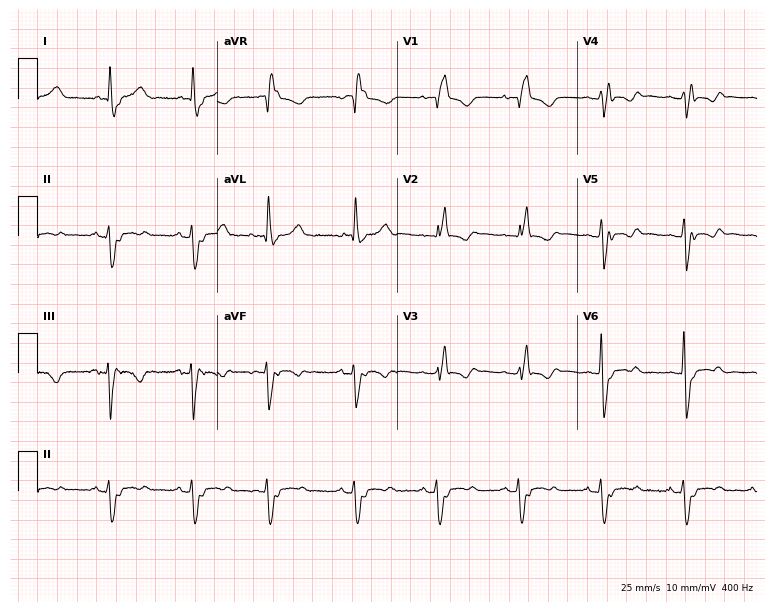
Electrocardiogram (7.3-second recording at 400 Hz), a 76-year-old female. Interpretation includes right bundle branch block.